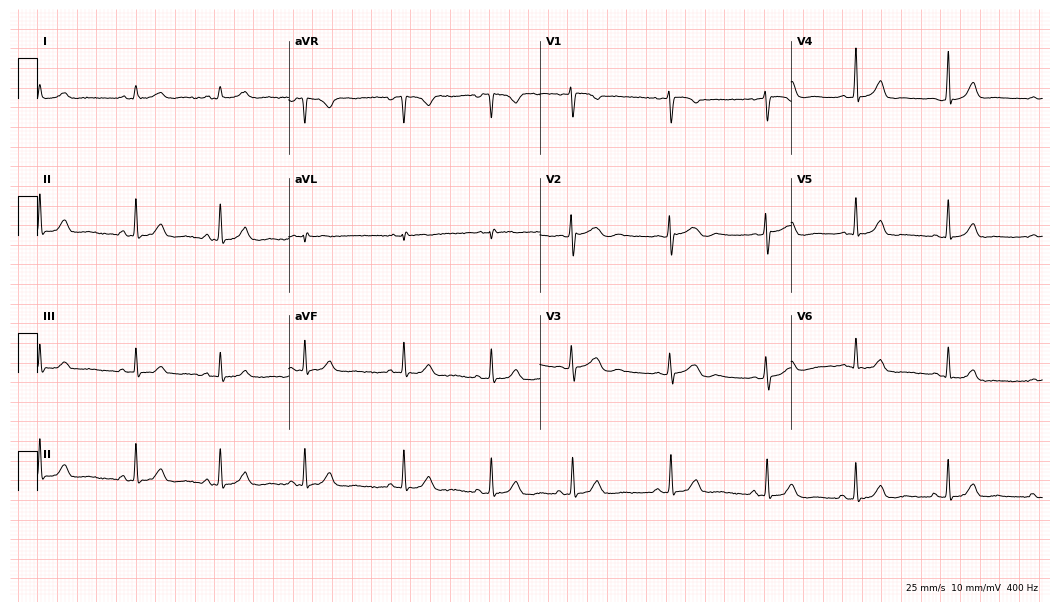
Resting 12-lead electrocardiogram (10.2-second recording at 400 Hz). Patient: a female, 18 years old. None of these six findings is recorded: first-degree AV block, right bundle branch block, left bundle branch block, sinus bradycardia, atrial fibrillation, sinus tachycardia. Only these six findings were labelled.